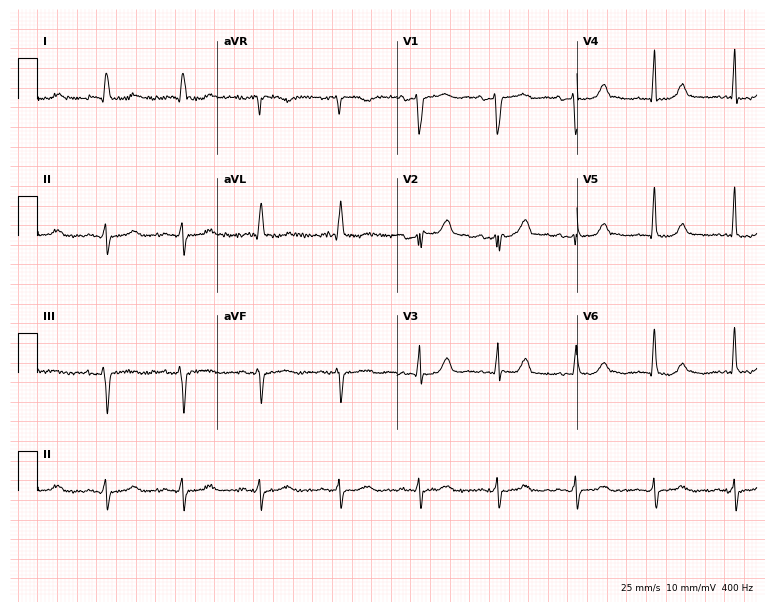
Electrocardiogram (7.3-second recording at 400 Hz), a female, 84 years old. Of the six screened findings (first-degree AV block, right bundle branch block, left bundle branch block, sinus bradycardia, atrial fibrillation, sinus tachycardia), none is recorded. Other findings, if any, are not listed.